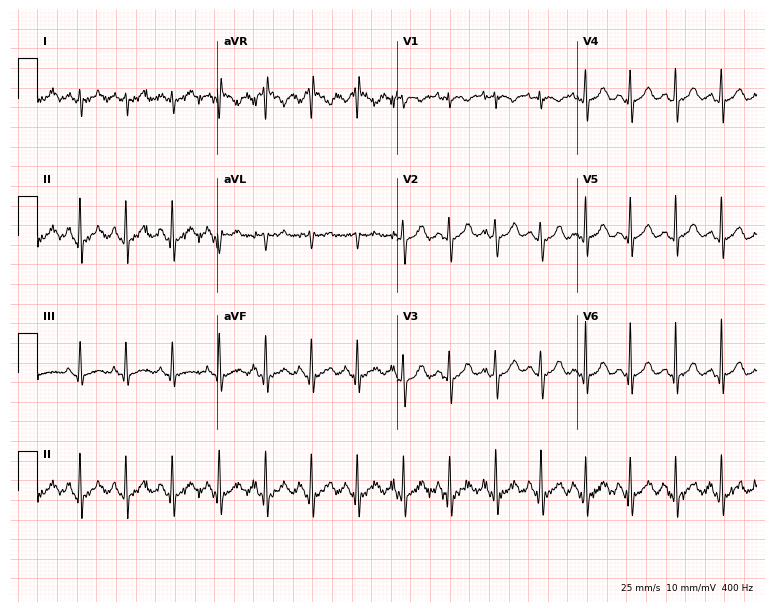
Electrocardiogram, a 23-year-old female. Interpretation includes sinus tachycardia (a sinus rate of 100 beats per minute or more).